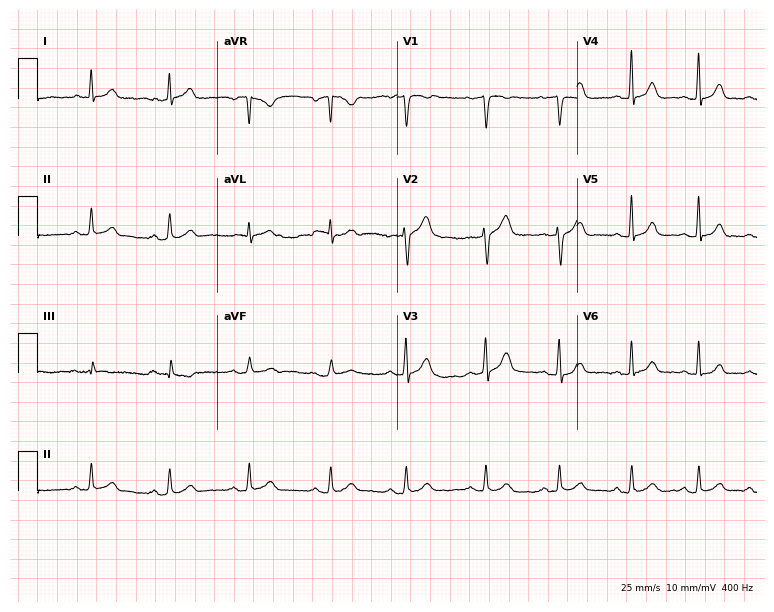
Standard 12-lead ECG recorded from a 31-year-old female (7.3-second recording at 400 Hz). None of these six findings is recorded: first-degree AV block, right bundle branch block, left bundle branch block, sinus bradycardia, atrial fibrillation, sinus tachycardia. Only these six findings were labelled.